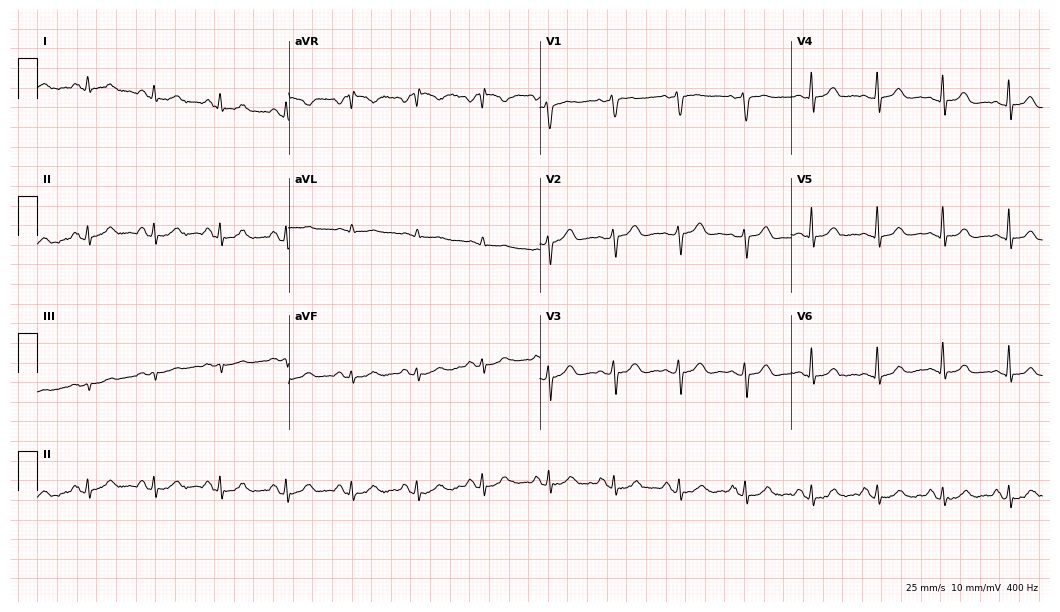
12-lead ECG from a 70-year-old male. Labelled as a normal ECG.